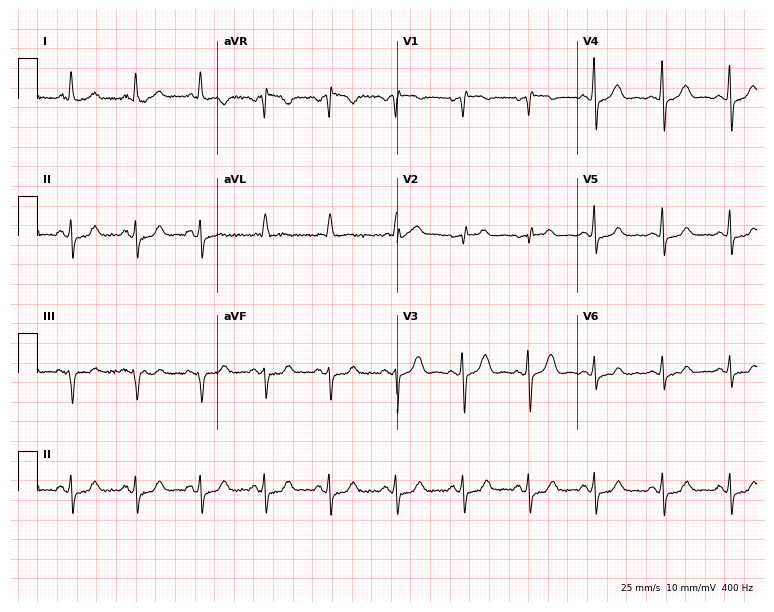
12-lead ECG from a 62-year-old woman. Screened for six findings — first-degree AV block, right bundle branch block, left bundle branch block, sinus bradycardia, atrial fibrillation, sinus tachycardia — none is recorded.